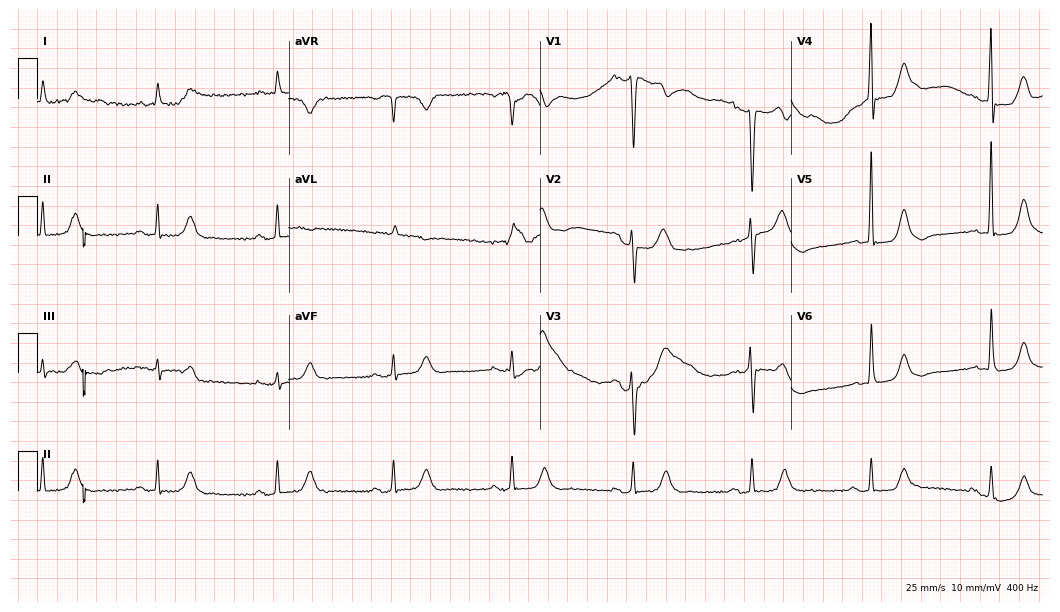
ECG — an 83-year-old male patient. Findings include sinus bradycardia (a sinus rate of 50 beats per minute or less).